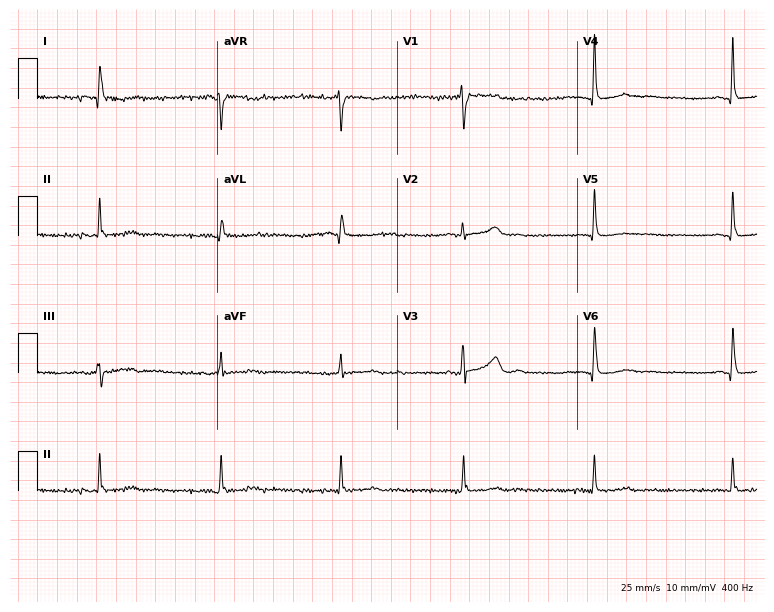
Standard 12-lead ECG recorded from a 69-year-old female patient. The tracing shows sinus bradycardia (a sinus rate of 50 beats per minute or less).